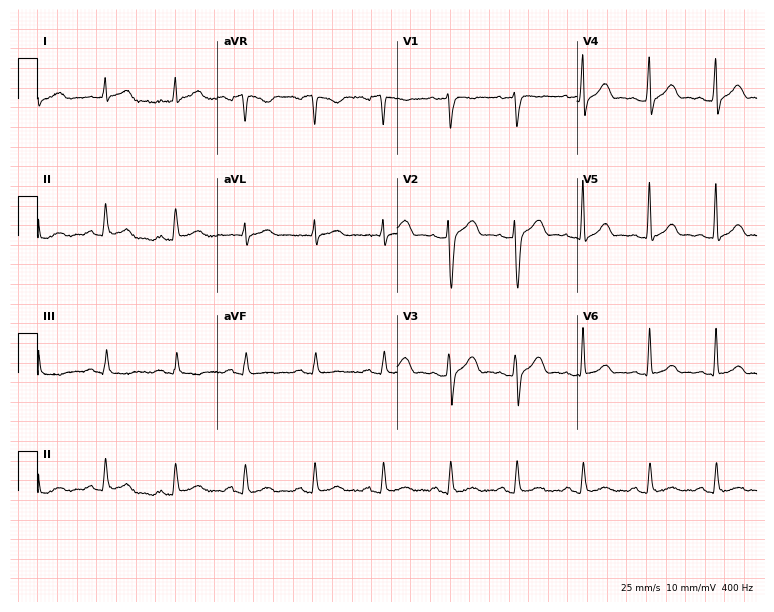
Standard 12-lead ECG recorded from a 31-year-old man. None of these six findings is recorded: first-degree AV block, right bundle branch block, left bundle branch block, sinus bradycardia, atrial fibrillation, sinus tachycardia.